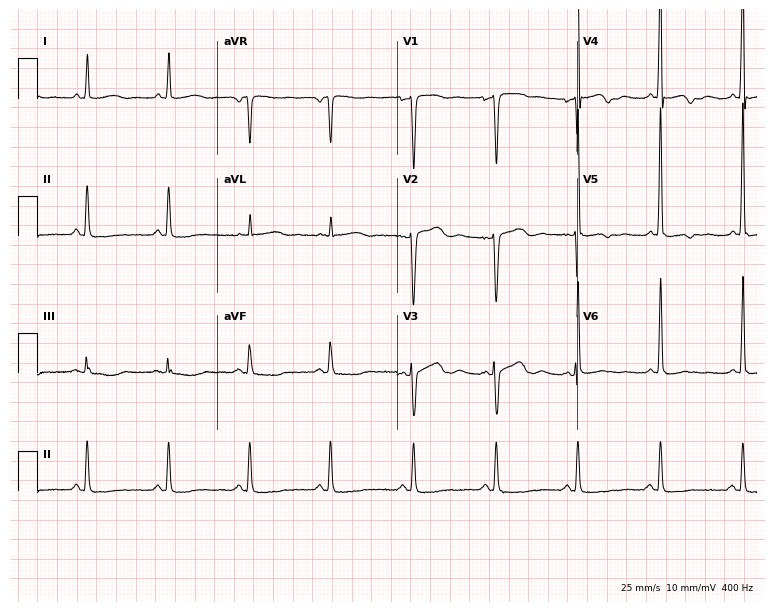
12-lead ECG from a woman, 62 years old. Screened for six findings — first-degree AV block, right bundle branch block (RBBB), left bundle branch block (LBBB), sinus bradycardia, atrial fibrillation (AF), sinus tachycardia — none is recorded. Only these six findings were labelled.